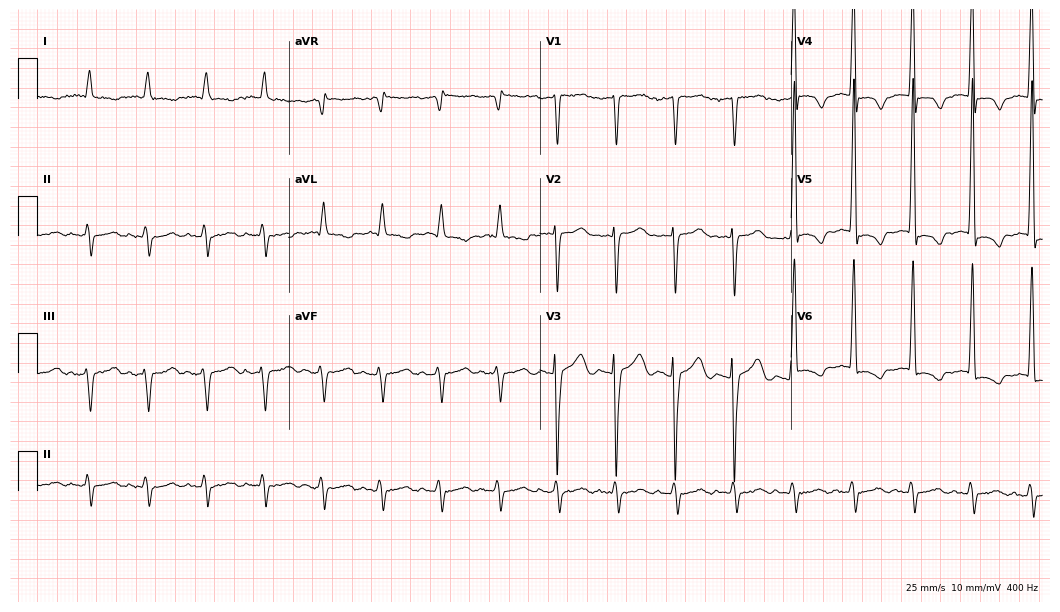
12-lead ECG from a 78-year-old man. Screened for six findings — first-degree AV block, right bundle branch block, left bundle branch block, sinus bradycardia, atrial fibrillation, sinus tachycardia — none is recorded.